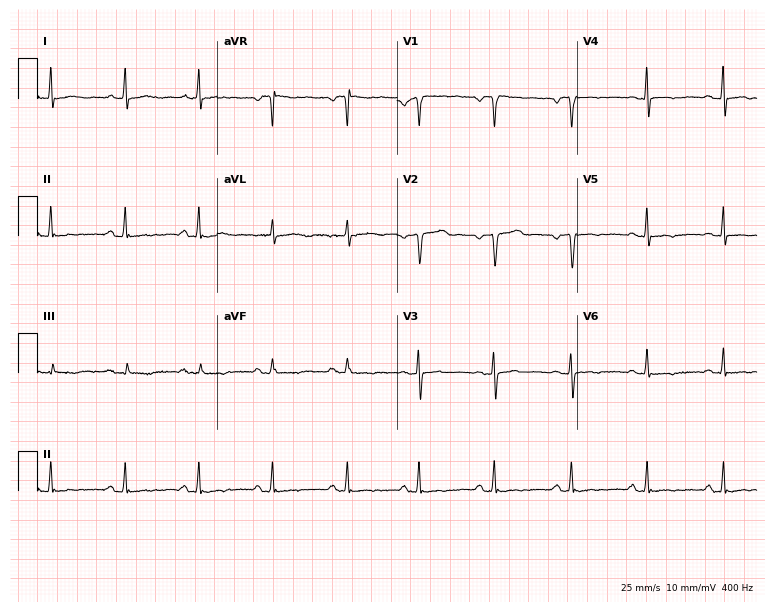
ECG — a woman, 58 years old. Labelled as a normal ECG.